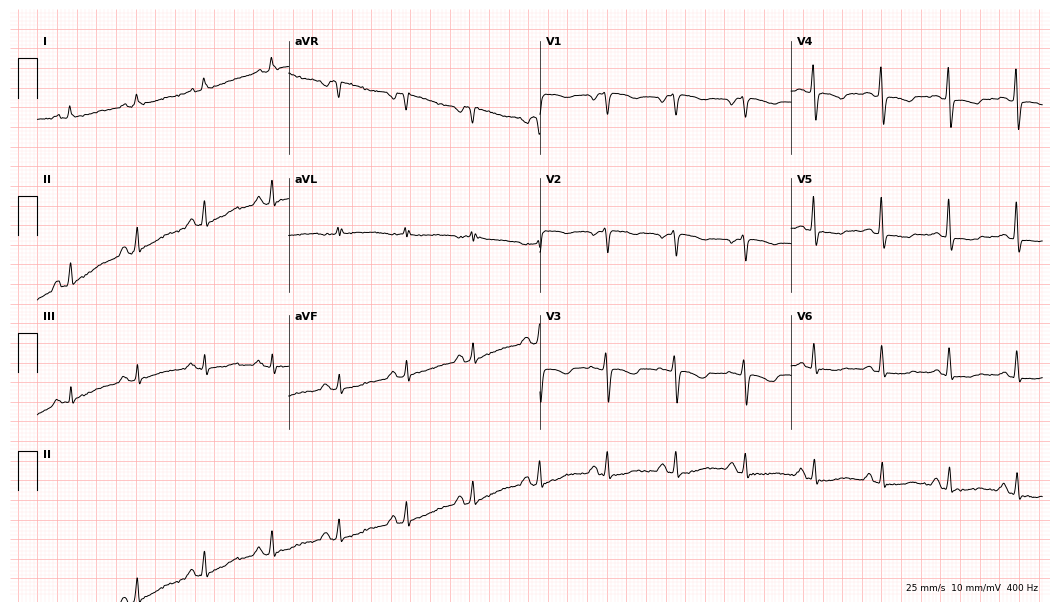
12-lead ECG from a 52-year-old female. No first-degree AV block, right bundle branch block (RBBB), left bundle branch block (LBBB), sinus bradycardia, atrial fibrillation (AF) or sinus tachycardia recorded for this tracing. Findings outside these six are not listed.